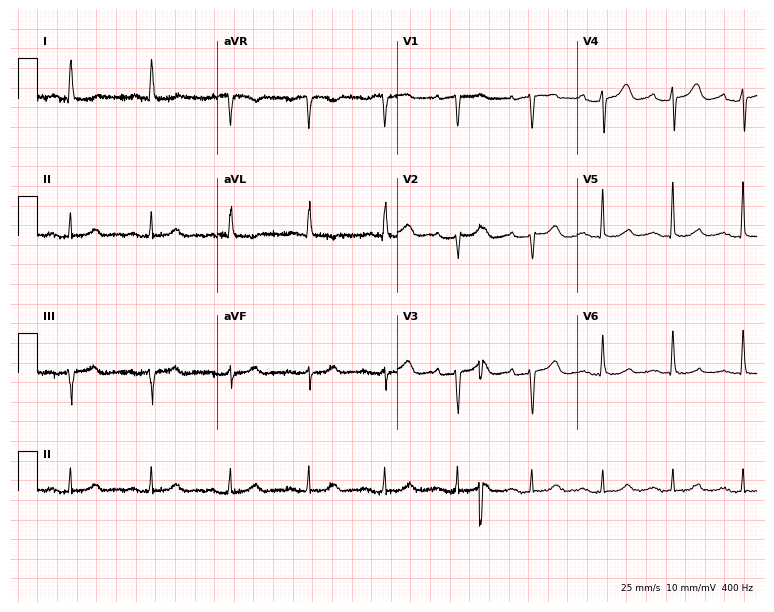
Resting 12-lead electrocardiogram. Patient: a female, 76 years old. None of these six findings is recorded: first-degree AV block, right bundle branch block, left bundle branch block, sinus bradycardia, atrial fibrillation, sinus tachycardia.